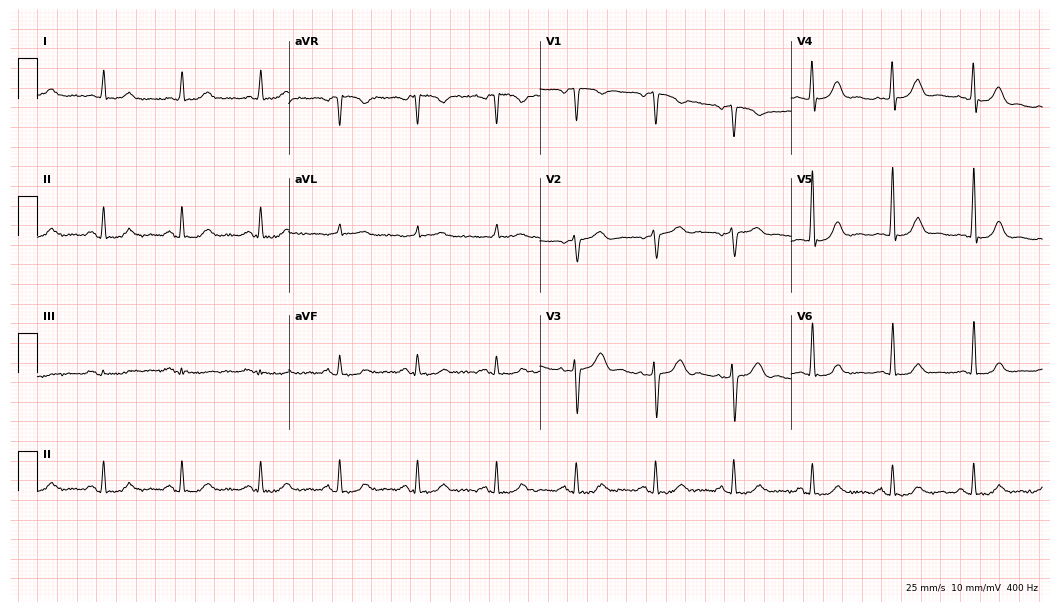
12-lead ECG (10.2-second recording at 400 Hz) from an 80-year-old male. Labelled as a normal ECG.